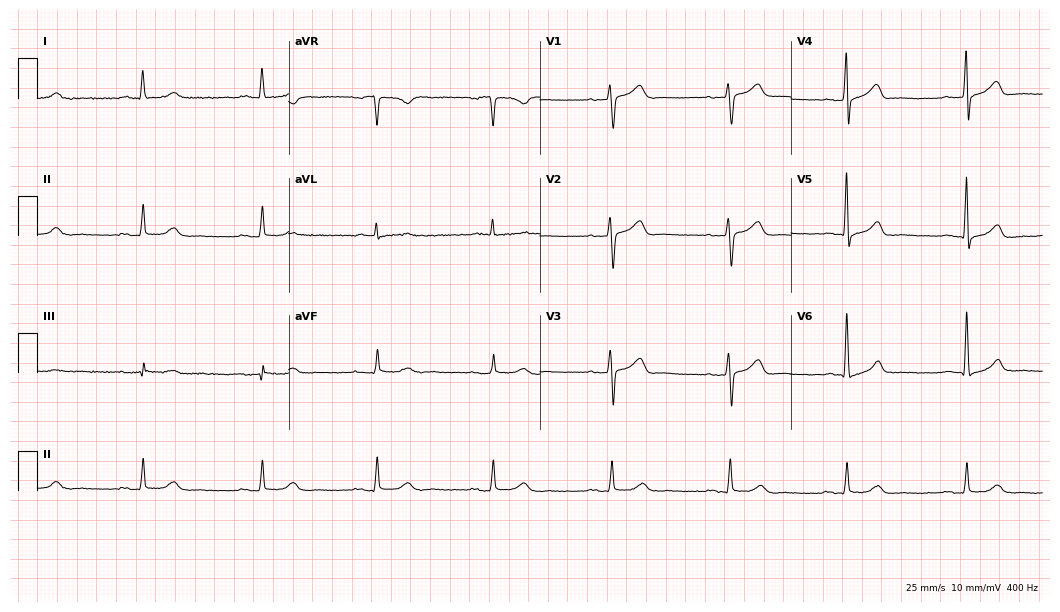
ECG — a man, 71 years old. Screened for six findings — first-degree AV block, right bundle branch block (RBBB), left bundle branch block (LBBB), sinus bradycardia, atrial fibrillation (AF), sinus tachycardia — none is recorded. Findings outside these six are not listed.